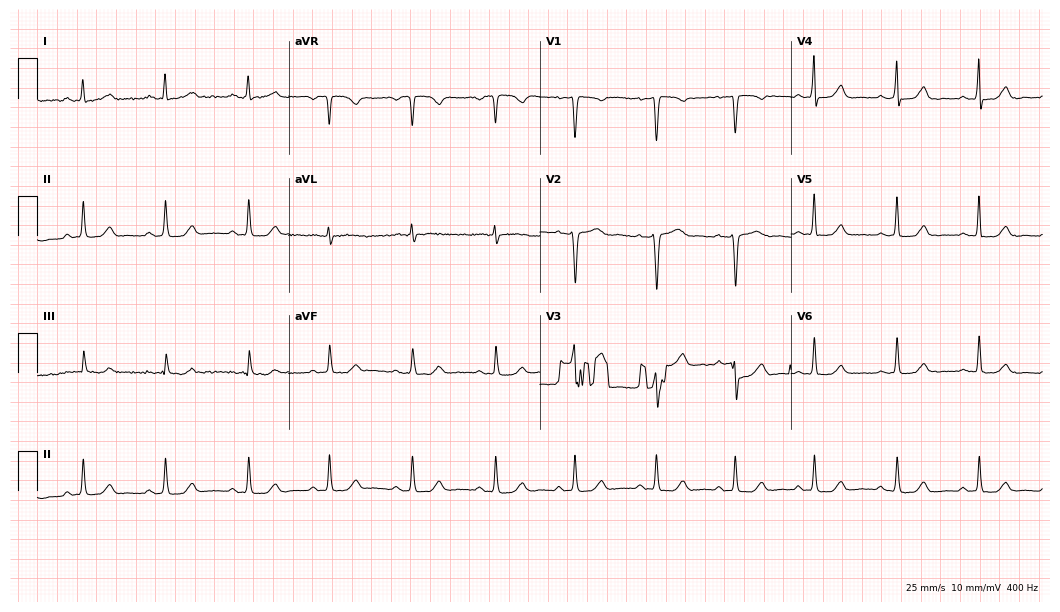
12-lead ECG from a 42-year-old female. Labelled as a normal ECG.